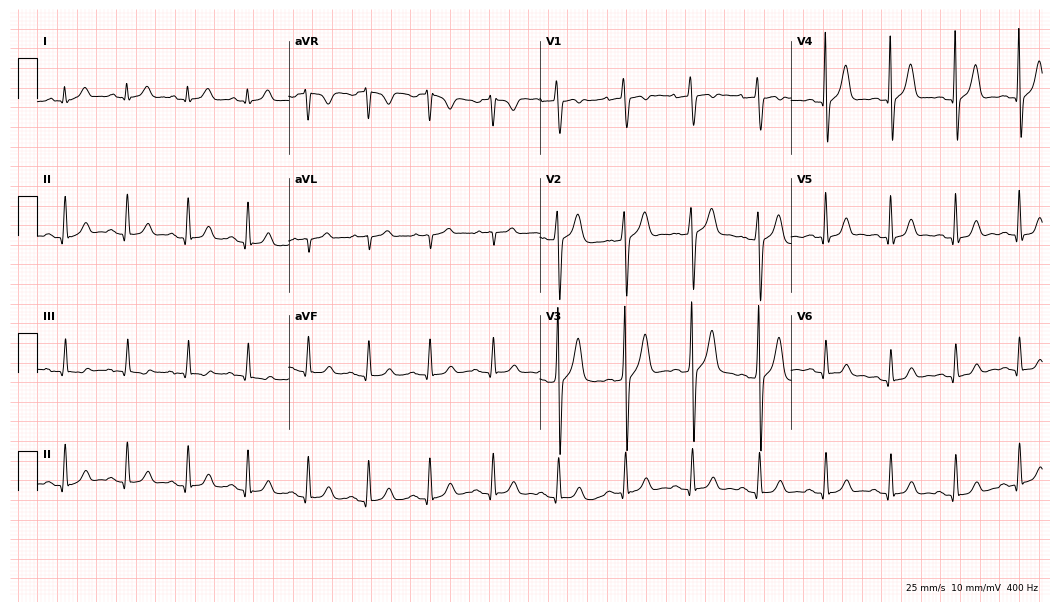
12-lead ECG from a 28-year-old man. Screened for six findings — first-degree AV block, right bundle branch block, left bundle branch block, sinus bradycardia, atrial fibrillation, sinus tachycardia — none is recorded. Findings outside these six are not listed.